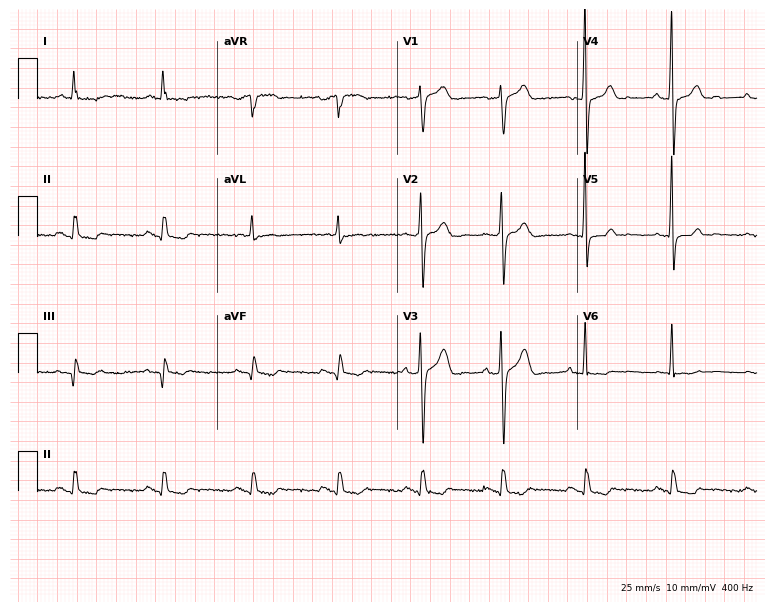
12-lead ECG from a male, 25 years old (7.3-second recording at 400 Hz). No first-degree AV block, right bundle branch block, left bundle branch block, sinus bradycardia, atrial fibrillation or sinus tachycardia recorded for this tracing. Other findings, if any, are not listed.